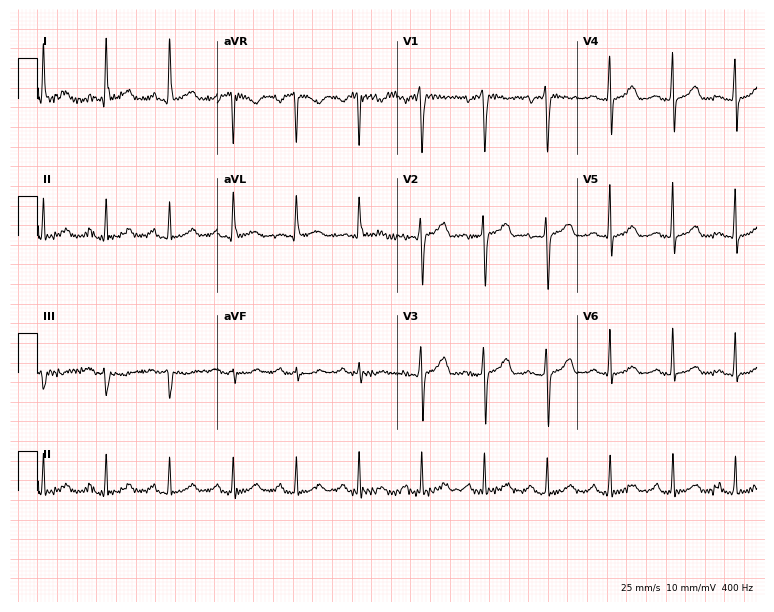
Electrocardiogram, a female, 47 years old. Of the six screened findings (first-degree AV block, right bundle branch block (RBBB), left bundle branch block (LBBB), sinus bradycardia, atrial fibrillation (AF), sinus tachycardia), none is recorded. Findings outside these six are not listed.